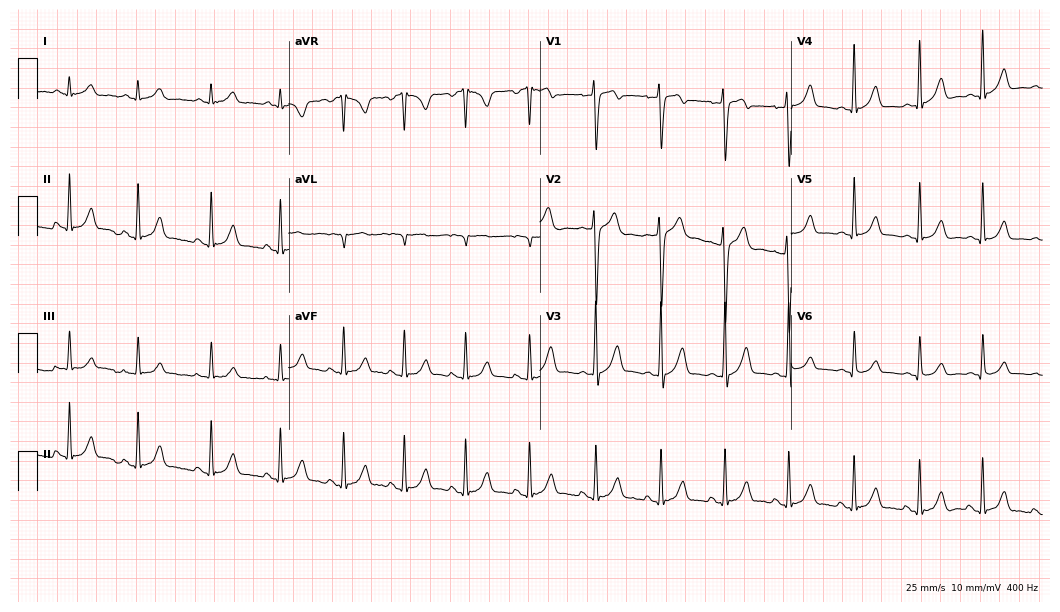
12-lead ECG (10.2-second recording at 400 Hz) from an 18-year-old man. Screened for six findings — first-degree AV block, right bundle branch block, left bundle branch block, sinus bradycardia, atrial fibrillation, sinus tachycardia — none is recorded.